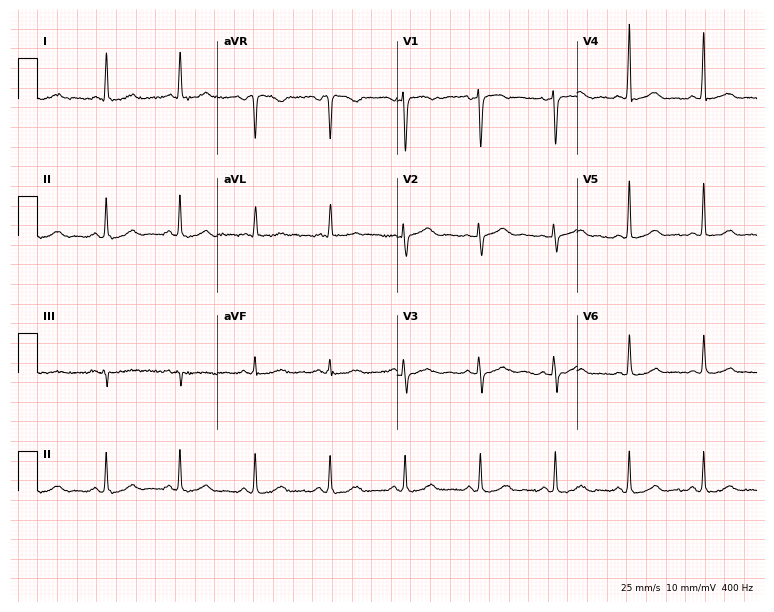
Standard 12-lead ECG recorded from a 65-year-old woman. Read as a normal ECG.